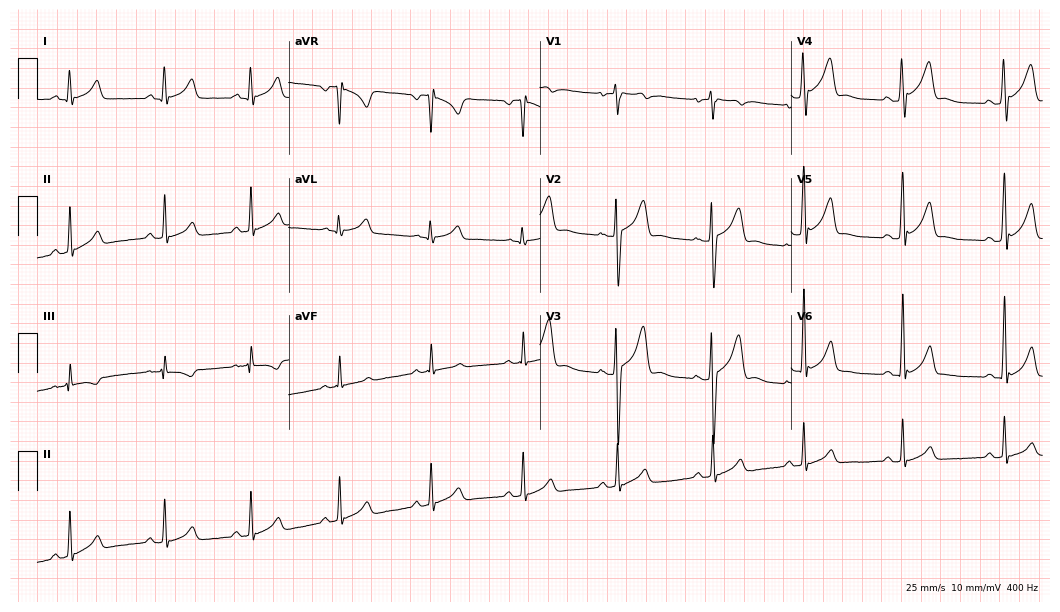
Resting 12-lead electrocardiogram. Patient: a 23-year-old man. None of these six findings is recorded: first-degree AV block, right bundle branch block, left bundle branch block, sinus bradycardia, atrial fibrillation, sinus tachycardia.